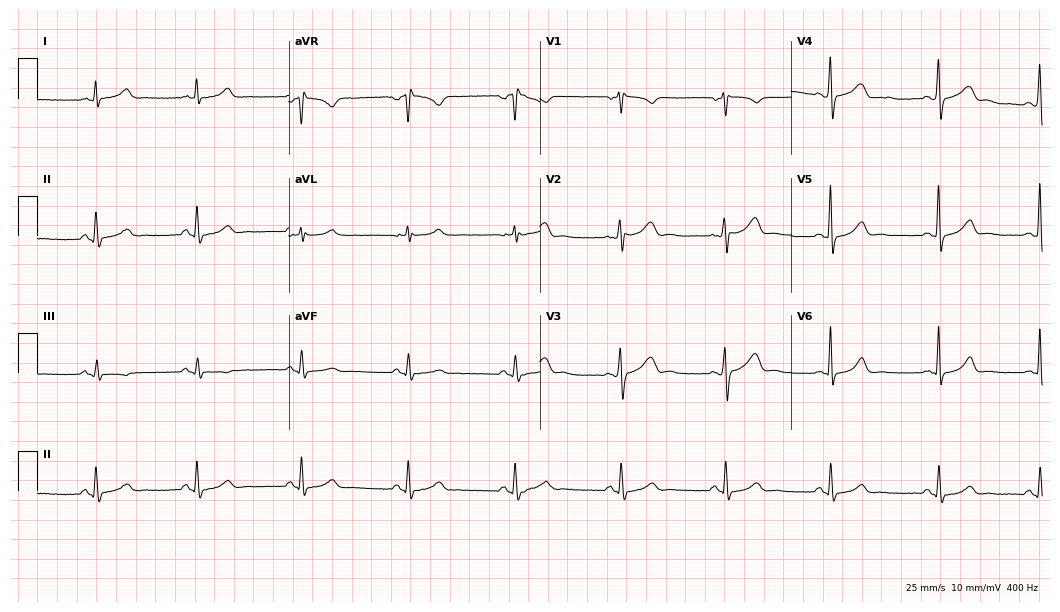
12-lead ECG (10.2-second recording at 400 Hz) from a man, 42 years old. Labelled as a normal ECG.